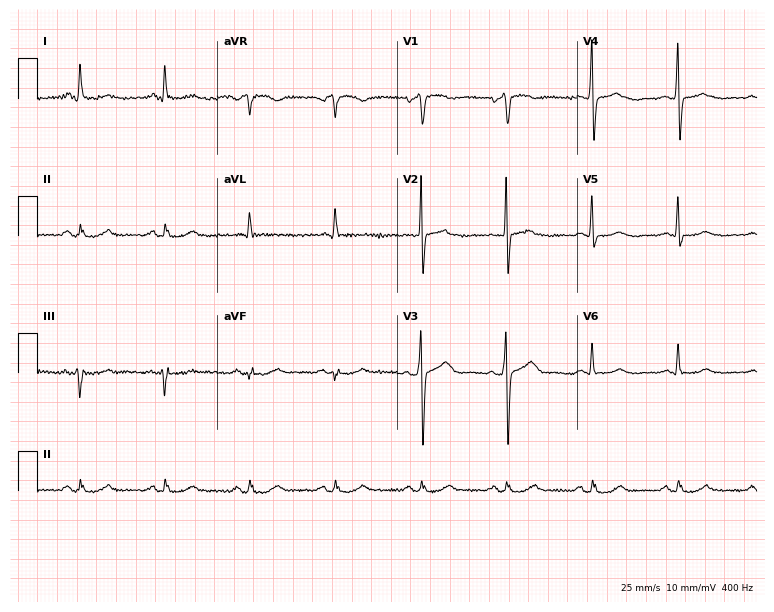
Resting 12-lead electrocardiogram (7.3-second recording at 400 Hz). Patient: a 68-year-old male. Read as a normal ECG.